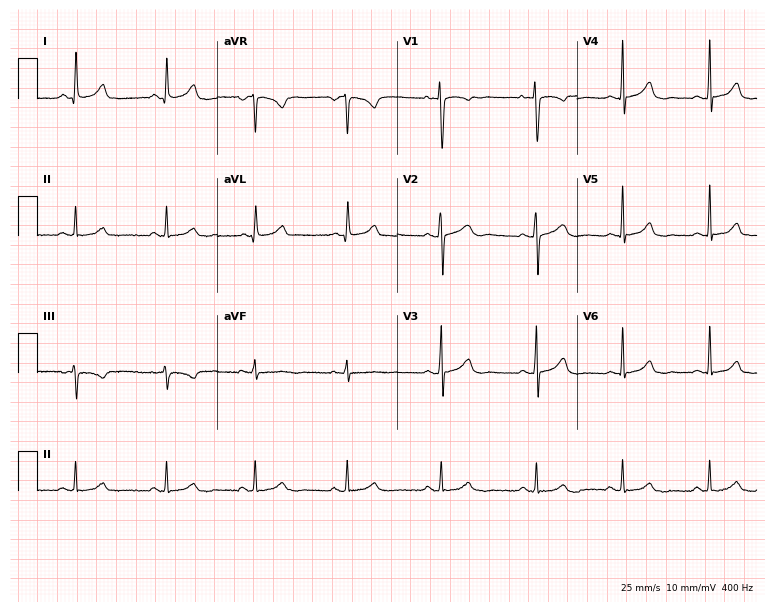
ECG (7.3-second recording at 400 Hz) — a 39-year-old female. Screened for six findings — first-degree AV block, right bundle branch block, left bundle branch block, sinus bradycardia, atrial fibrillation, sinus tachycardia — none is recorded.